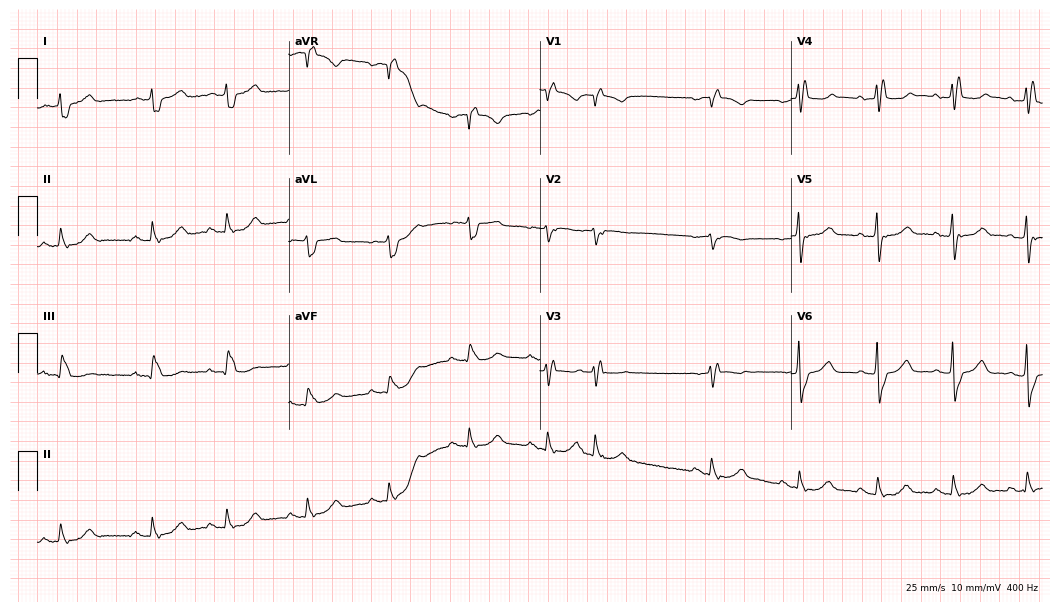
12-lead ECG from a male, 75 years old. Shows right bundle branch block.